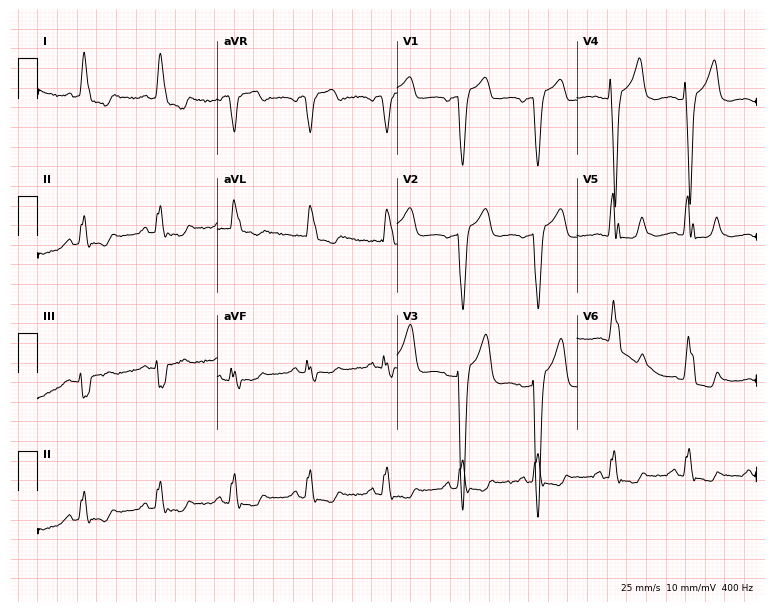
12-lead ECG (7.3-second recording at 400 Hz) from an 82-year-old female. Findings include left bundle branch block.